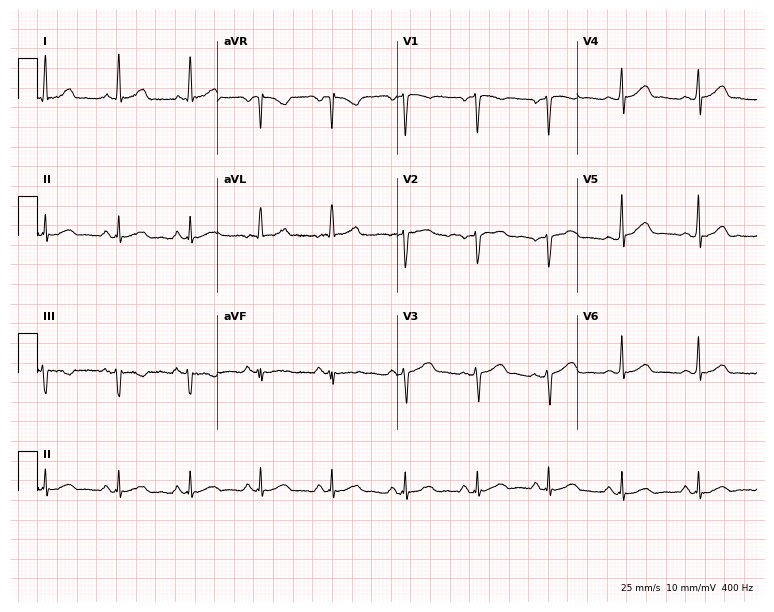
Electrocardiogram, a 74-year-old woman. Of the six screened findings (first-degree AV block, right bundle branch block, left bundle branch block, sinus bradycardia, atrial fibrillation, sinus tachycardia), none is recorded.